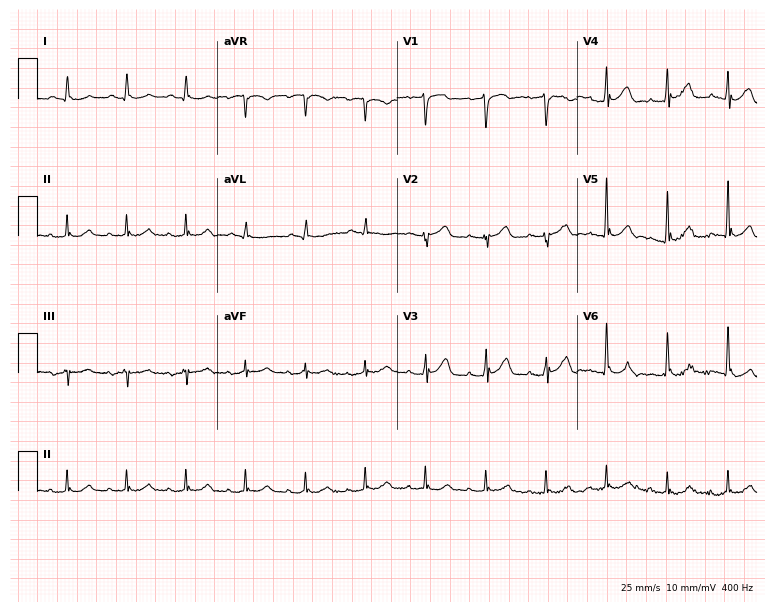
12-lead ECG (7.3-second recording at 400 Hz) from a 79-year-old man. Screened for six findings — first-degree AV block, right bundle branch block, left bundle branch block, sinus bradycardia, atrial fibrillation, sinus tachycardia — none is recorded.